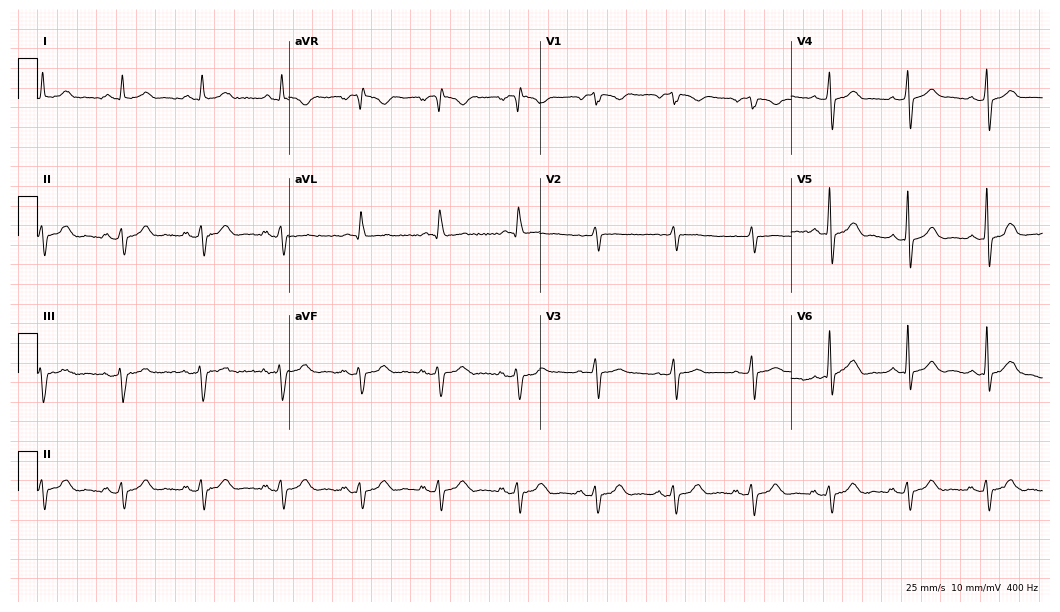
Resting 12-lead electrocardiogram. Patient: a man, 69 years old. None of these six findings is recorded: first-degree AV block, right bundle branch block, left bundle branch block, sinus bradycardia, atrial fibrillation, sinus tachycardia. Findings outside these six are not listed.